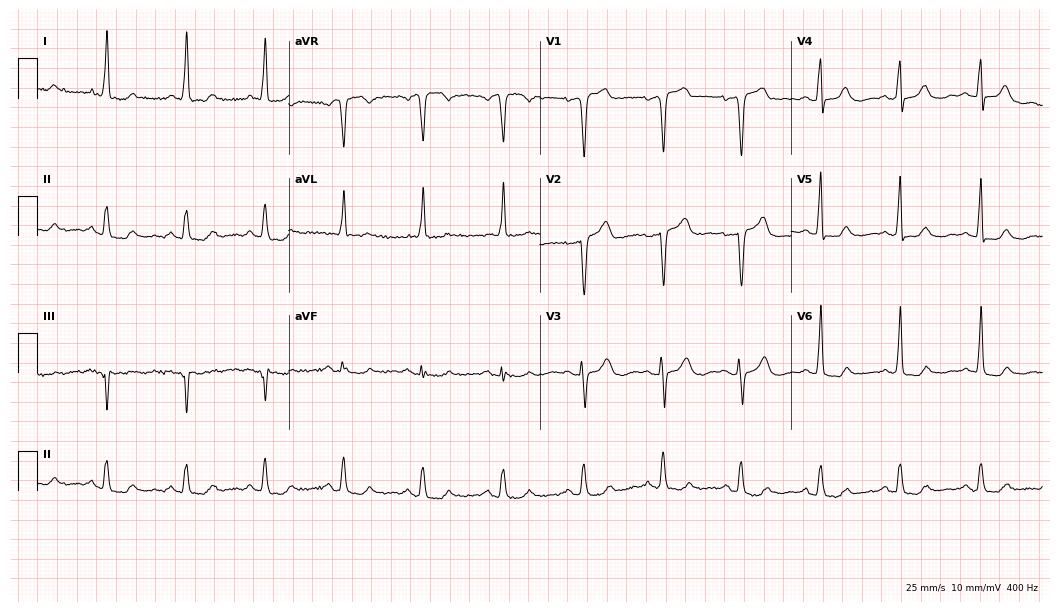
12-lead ECG from an 81-year-old female patient (10.2-second recording at 400 Hz). No first-degree AV block, right bundle branch block, left bundle branch block, sinus bradycardia, atrial fibrillation or sinus tachycardia recorded for this tracing.